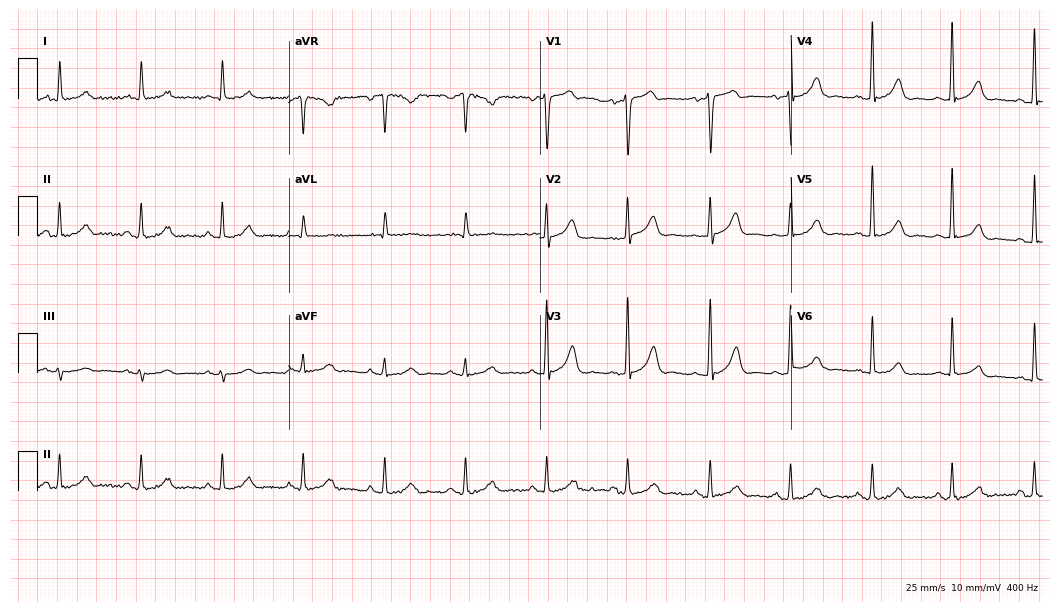
12-lead ECG from a male, 75 years old. Recorded interpretation: within normal limits.